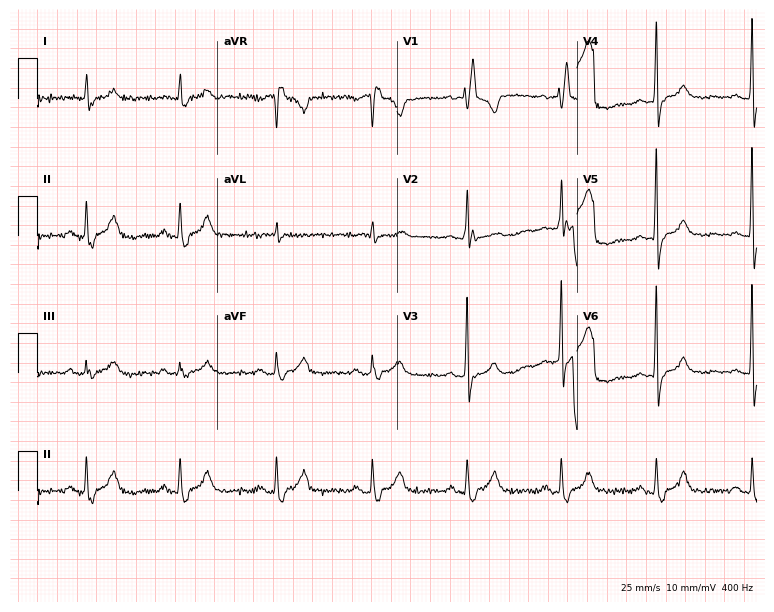
12-lead ECG from a female, 71 years old. No first-degree AV block, right bundle branch block, left bundle branch block, sinus bradycardia, atrial fibrillation or sinus tachycardia recorded for this tracing.